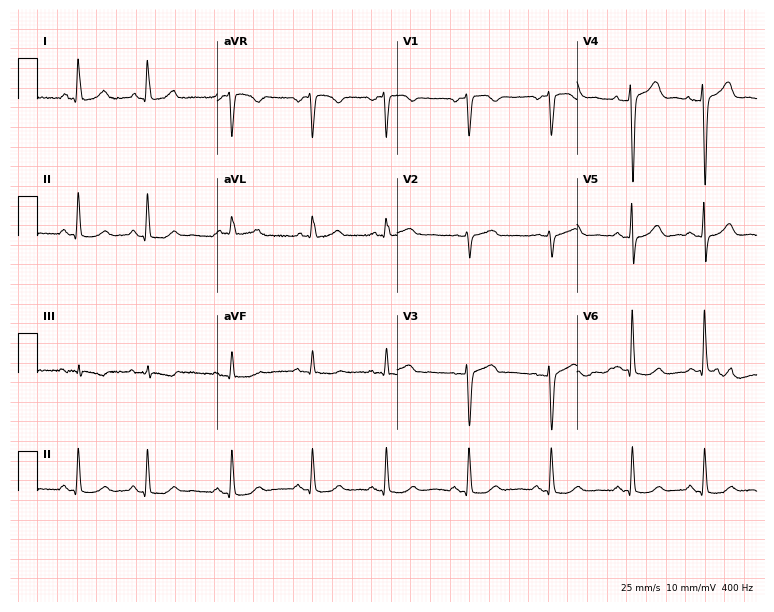
12-lead ECG from a 54-year-old female (7.3-second recording at 400 Hz). No first-degree AV block, right bundle branch block, left bundle branch block, sinus bradycardia, atrial fibrillation or sinus tachycardia recorded for this tracing.